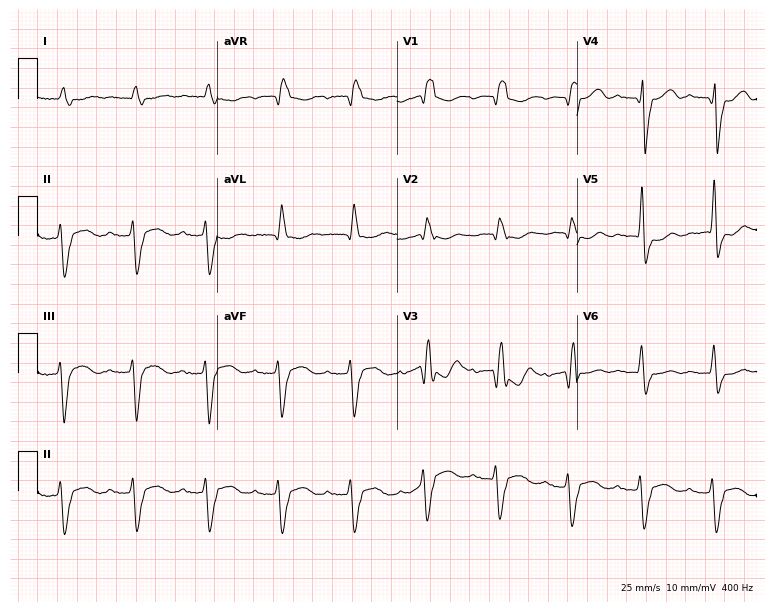
ECG — a woman, 77 years old. Findings include first-degree AV block, right bundle branch block (RBBB).